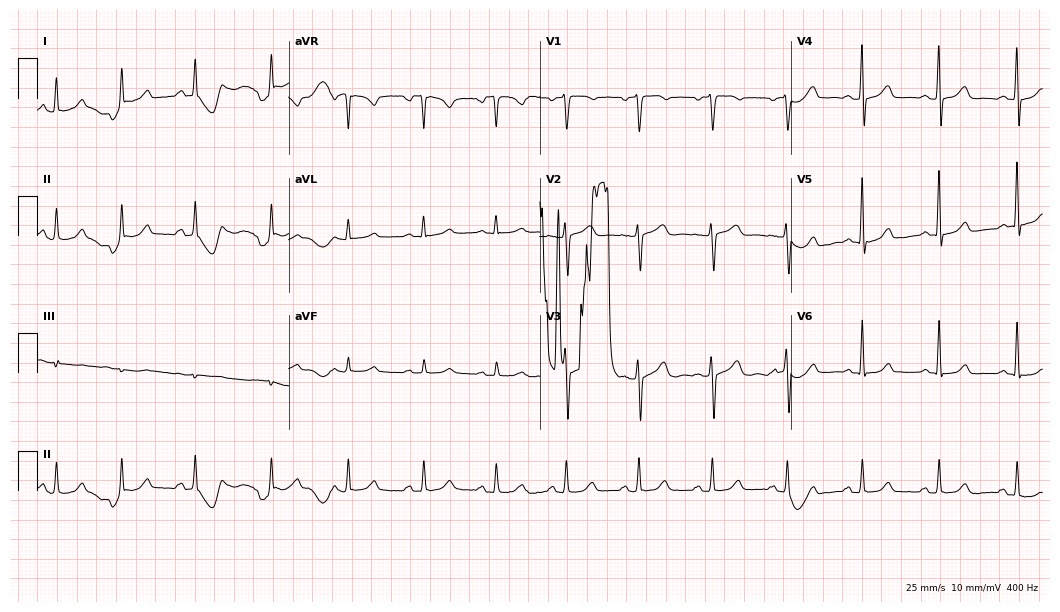
ECG — a female patient, 44 years old. Screened for six findings — first-degree AV block, right bundle branch block, left bundle branch block, sinus bradycardia, atrial fibrillation, sinus tachycardia — none is recorded.